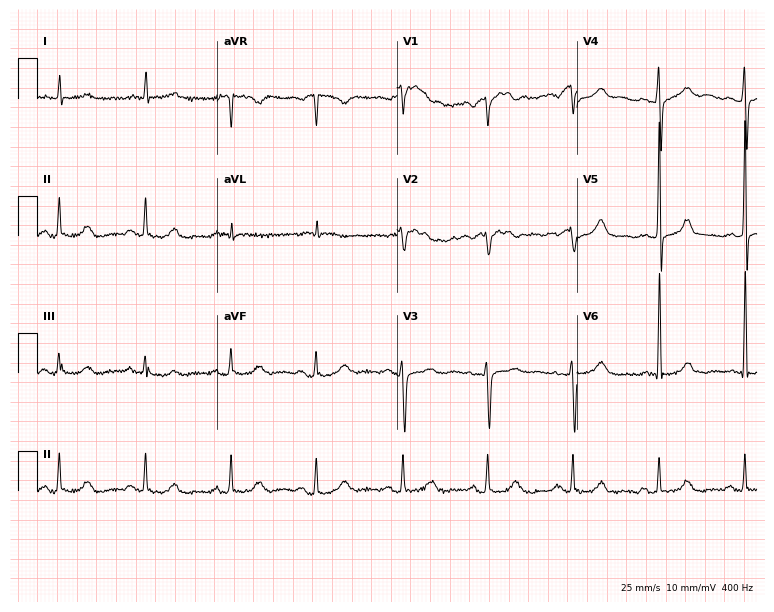
ECG (7.3-second recording at 400 Hz) — a 76-year-old female patient. Screened for six findings — first-degree AV block, right bundle branch block, left bundle branch block, sinus bradycardia, atrial fibrillation, sinus tachycardia — none is recorded.